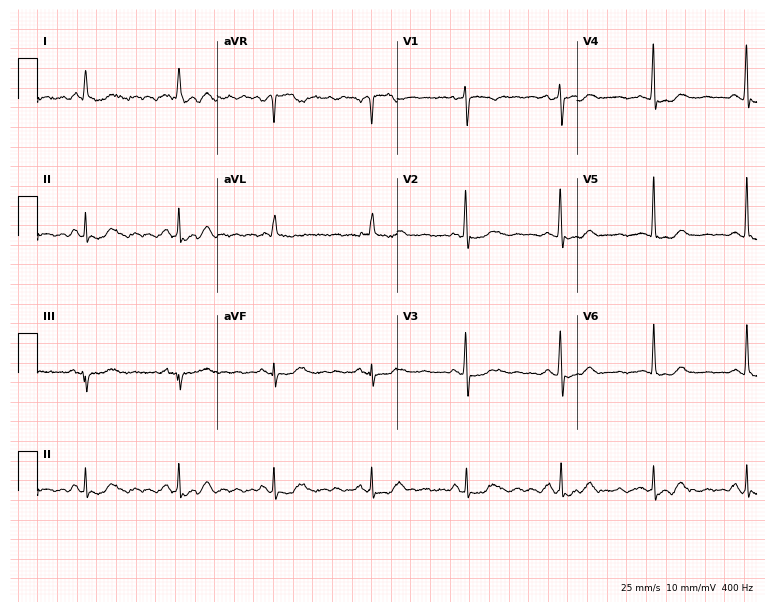
Resting 12-lead electrocardiogram (7.3-second recording at 400 Hz). Patient: a female, 72 years old. None of these six findings is recorded: first-degree AV block, right bundle branch block, left bundle branch block, sinus bradycardia, atrial fibrillation, sinus tachycardia.